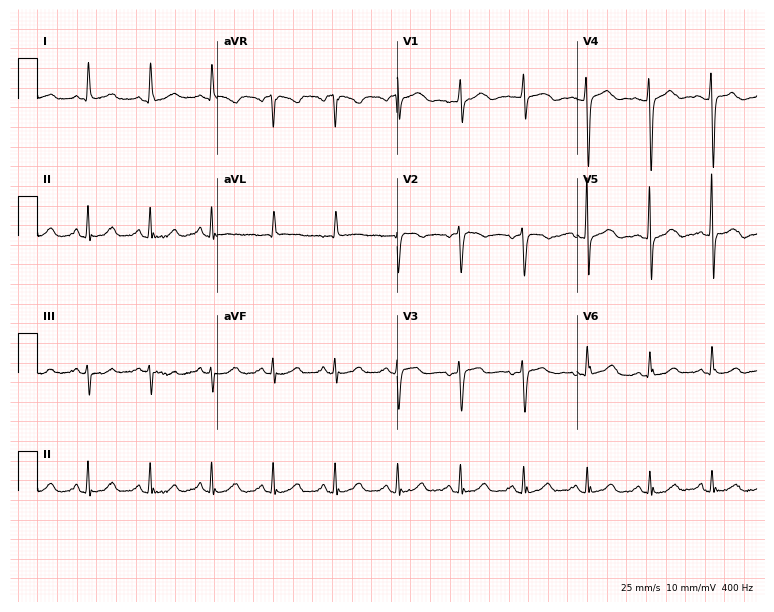
12-lead ECG from a female patient, 81 years old (7.3-second recording at 400 Hz). Recorded interpretation: within normal limits.